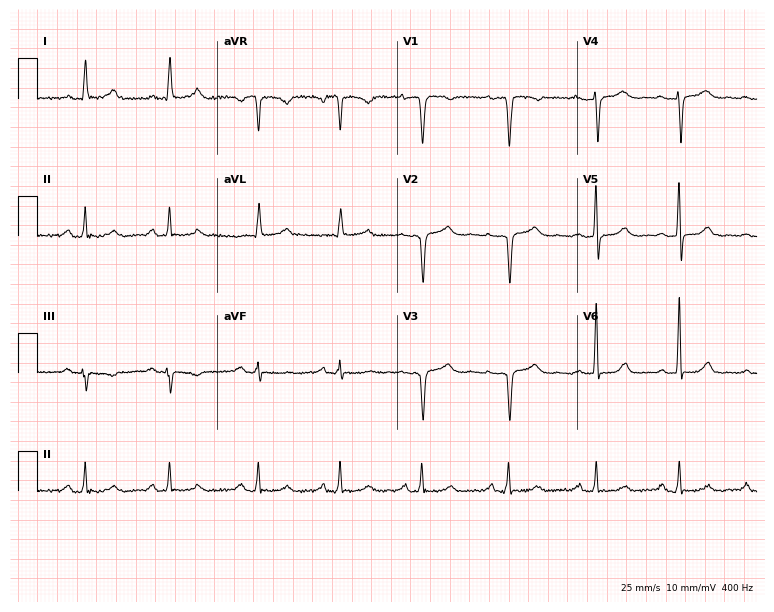
Standard 12-lead ECG recorded from a 60-year-old woman. None of these six findings is recorded: first-degree AV block, right bundle branch block, left bundle branch block, sinus bradycardia, atrial fibrillation, sinus tachycardia.